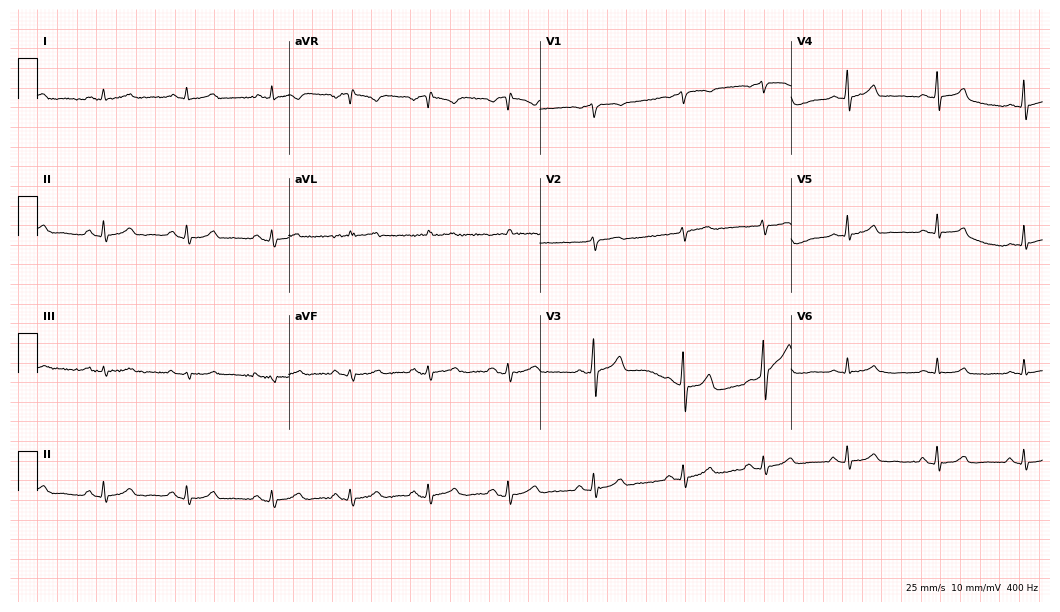
ECG — a female, 37 years old. Screened for six findings — first-degree AV block, right bundle branch block, left bundle branch block, sinus bradycardia, atrial fibrillation, sinus tachycardia — none is recorded.